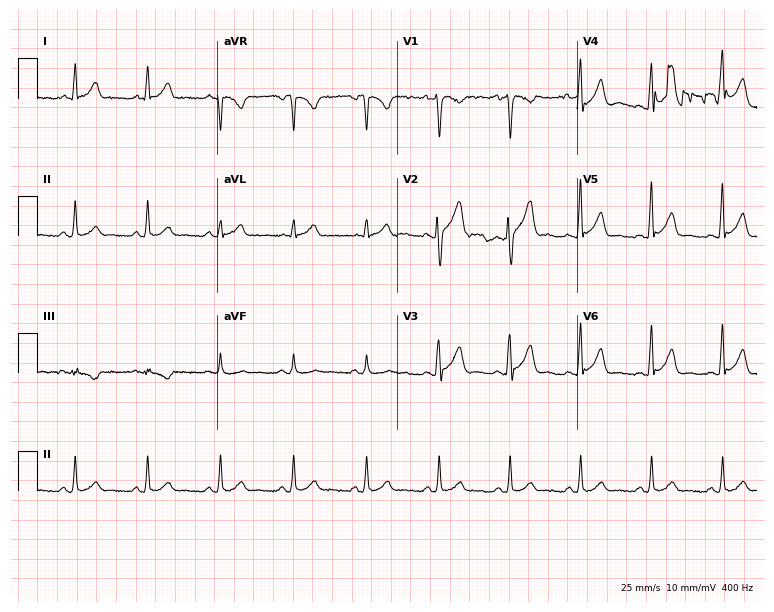
Resting 12-lead electrocardiogram (7.3-second recording at 400 Hz). Patient: a 27-year-old man. None of these six findings is recorded: first-degree AV block, right bundle branch block, left bundle branch block, sinus bradycardia, atrial fibrillation, sinus tachycardia.